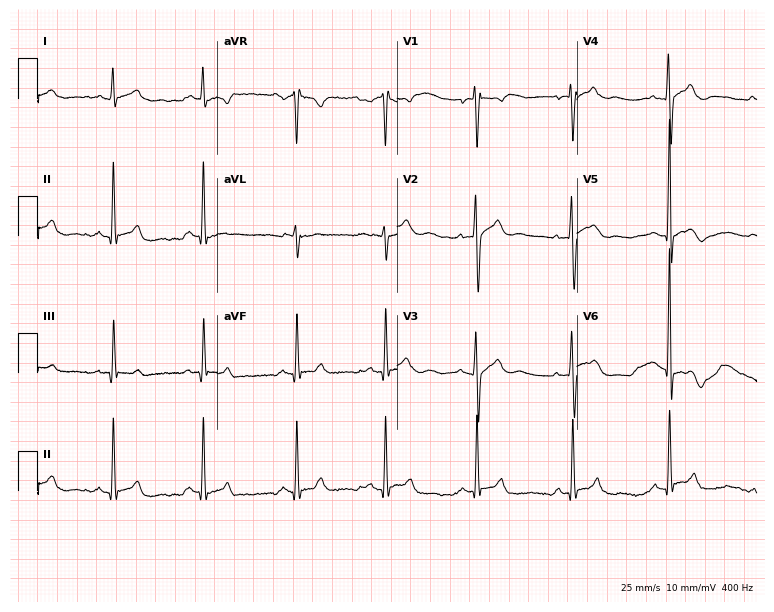
ECG (7.3-second recording at 400 Hz) — a 35-year-old male. Labelled as a normal ECG.